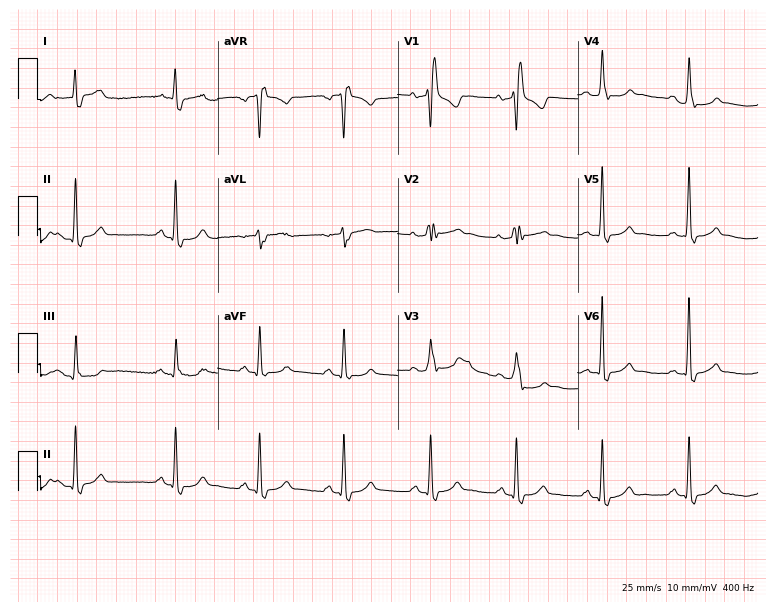
12-lead ECG from a 65-year-old man (7.3-second recording at 400 Hz). Shows right bundle branch block (RBBB).